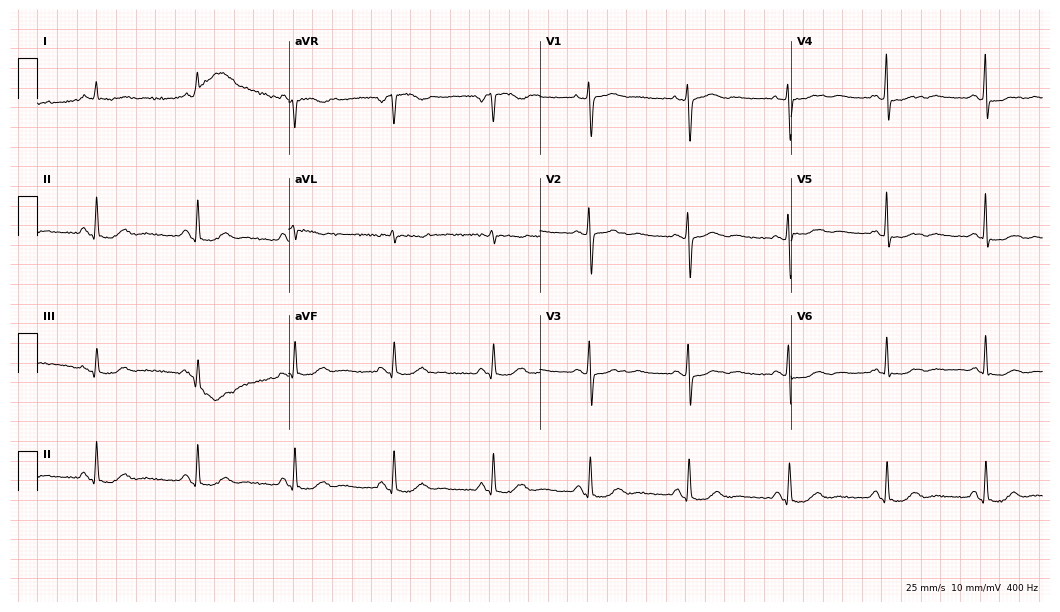
12-lead ECG from a 62-year-old woman. Recorded interpretation: within normal limits.